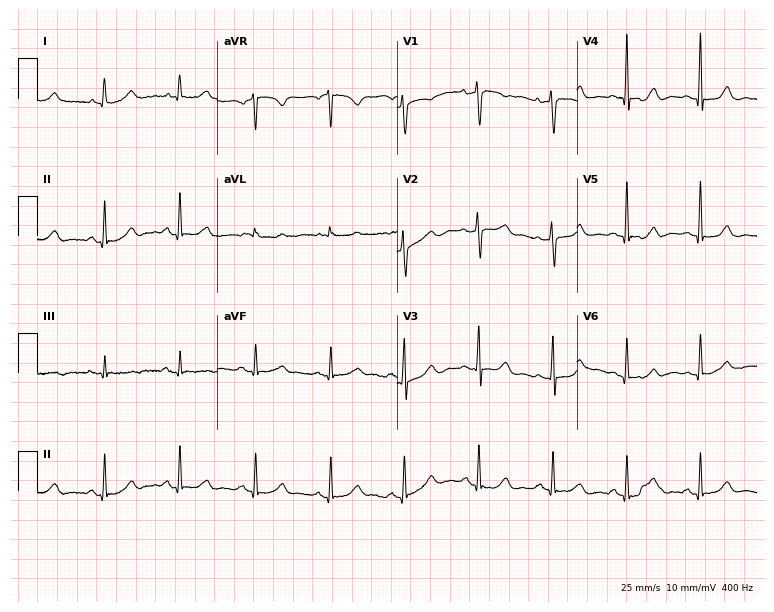
ECG (7.3-second recording at 400 Hz) — a female, 57 years old. Screened for six findings — first-degree AV block, right bundle branch block, left bundle branch block, sinus bradycardia, atrial fibrillation, sinus tachycardia — none is recorded.